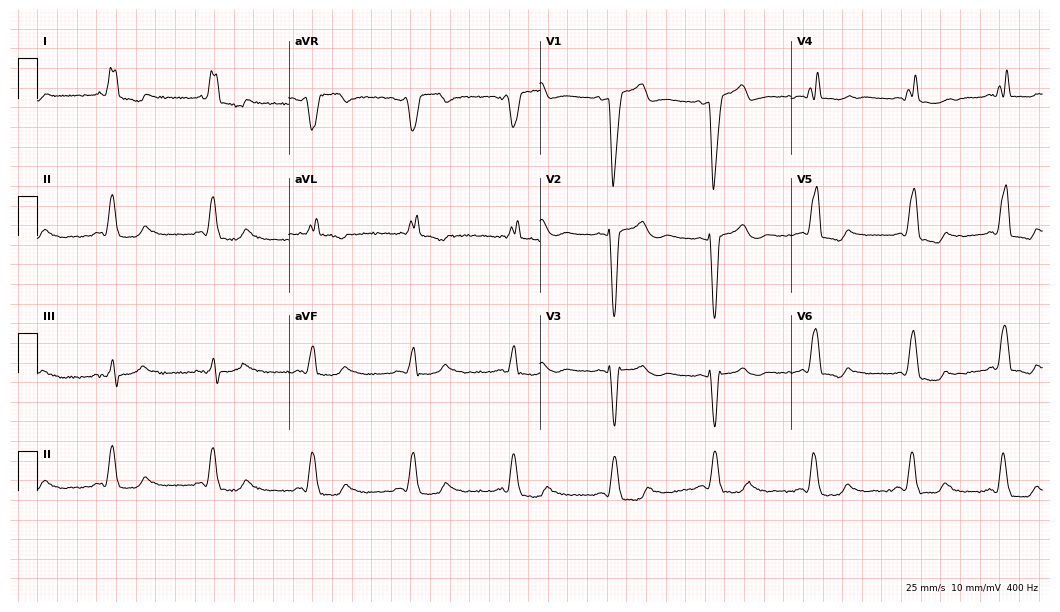
ECG — a female, 59 years old. Findings include left bundle branch block.